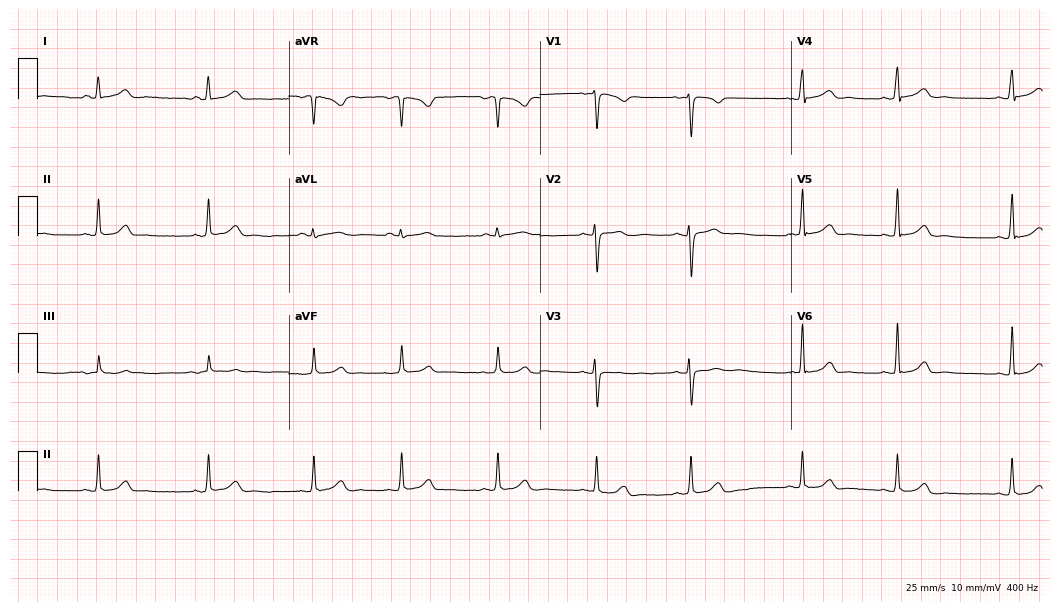
Resting 12-lead electrocardiogram (10.2-second recording at 400 Hz). Patient: a woman, 26 years old. Read as a normal ECG.